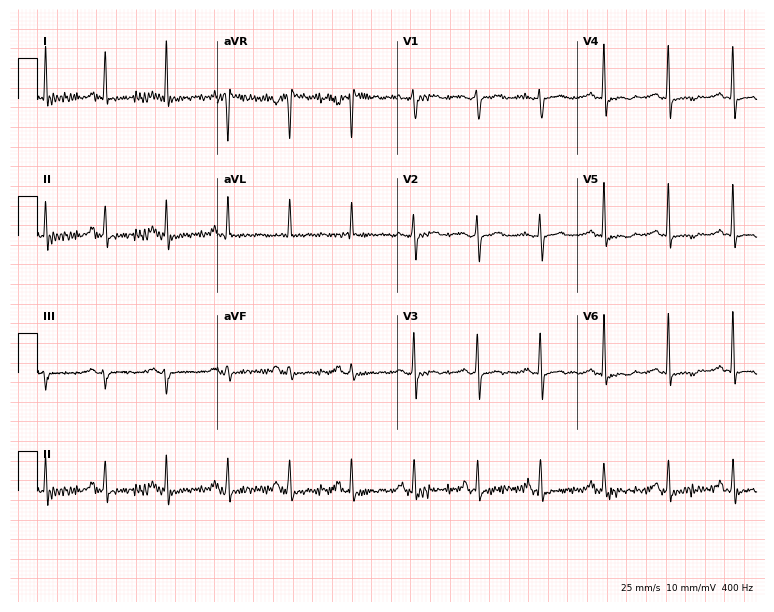
Resting 12-lead electrocardiogram. Patient: a female, 58 years old. None of these six findings is recorded: first-degree AV block, right bundle branch block (RBBB), left bundle branch block (LBBB), sinus bradycardia, atrial fibrillation (AF), sinus tachycardia.